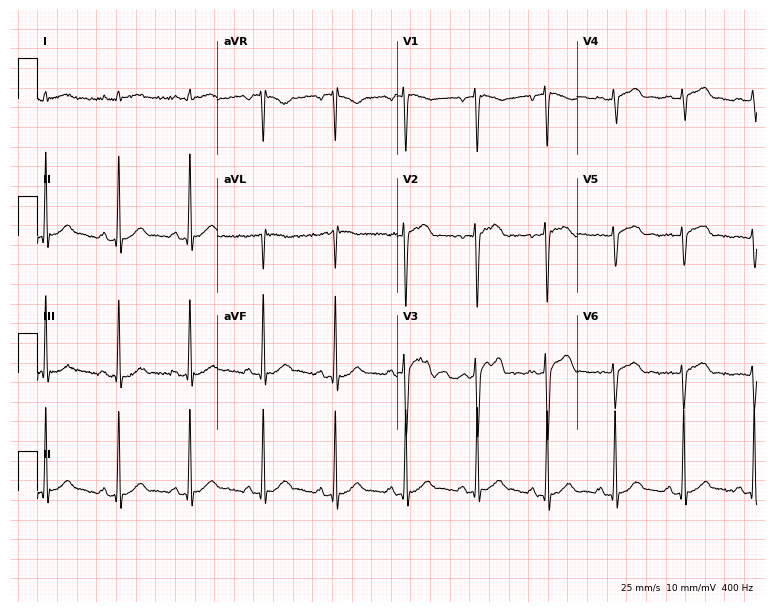
ECG (7.3-second recording at 400 Hz) — a male, 46 years old. Screened for six findings — first-degree AV block, right bundle branch block, left bundle branch block, sinus bradycardia, atrial fibrillation, sinus tachycardia — none is recorded. Other findings, if any, are not listed.